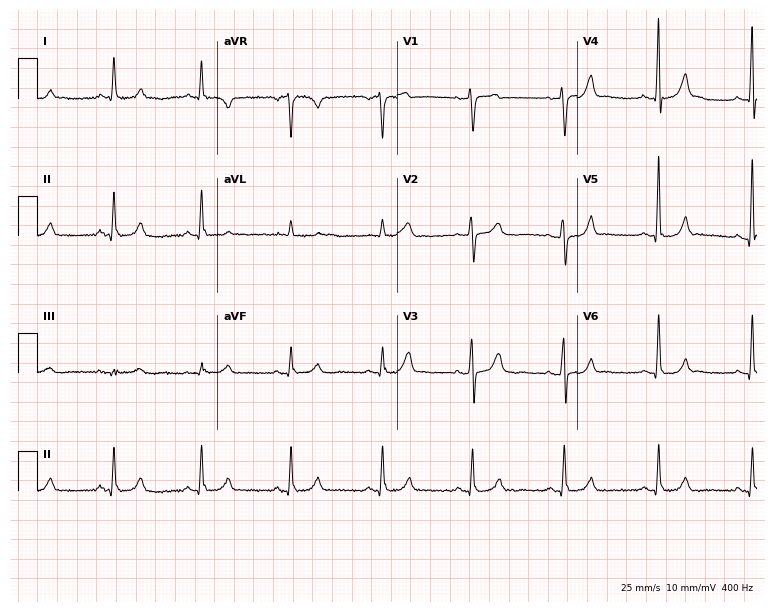
Standard 12-lead ECG recorded from a female, 67 years old. Read as a normal ECG.